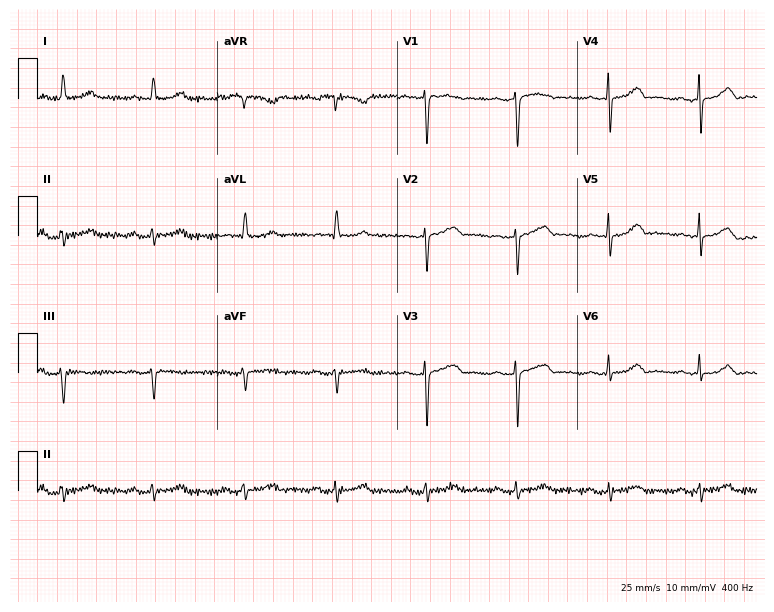
Standard 12-lead ECG recorded from a 72-year-old female patient. Read as a normal ECG.